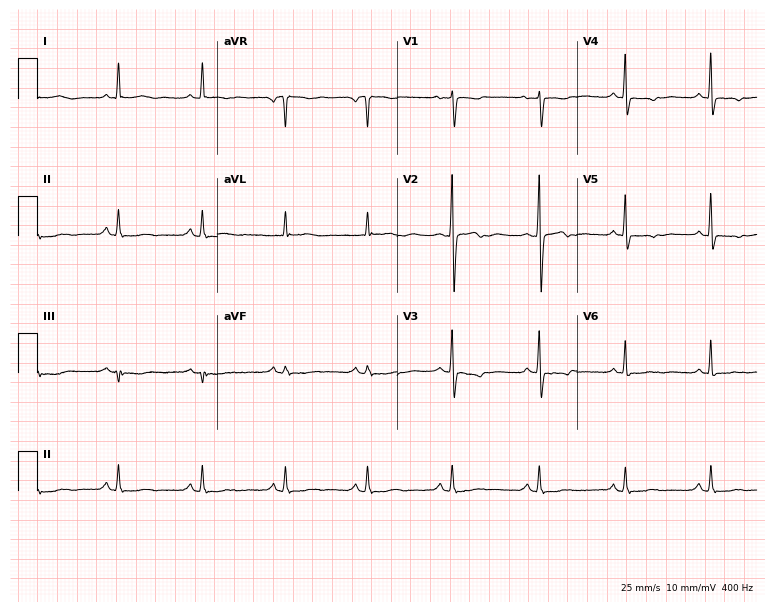
12-lead ECG from a 78-year-old female patient (7.3-second recording at 400 Hz). No first-degree AV block, right bundle branch block, left bundle branch block, sinus bradycardia, atrial fibrillation or sinus tachycardia recorded for this tracing. Other findings, if any, are not listed.